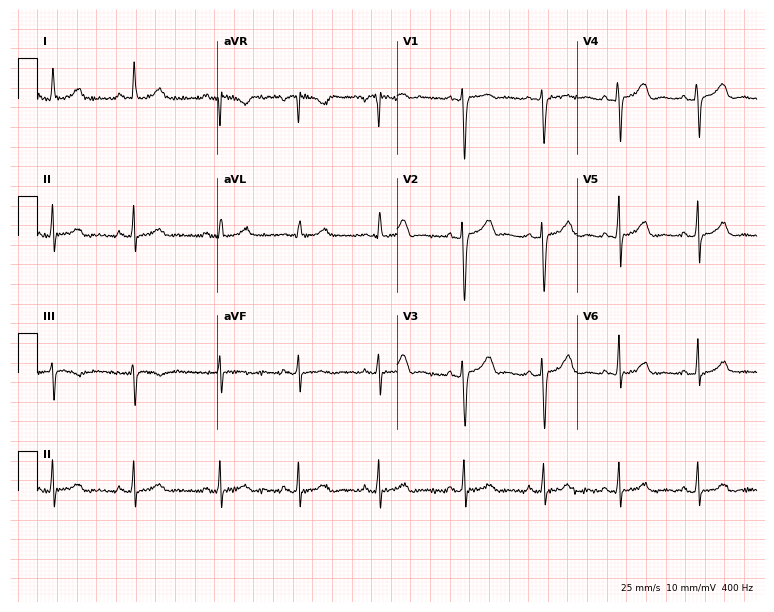
12-lead ECG from a female patient, 44 years old. Labelled as a normal ECG.